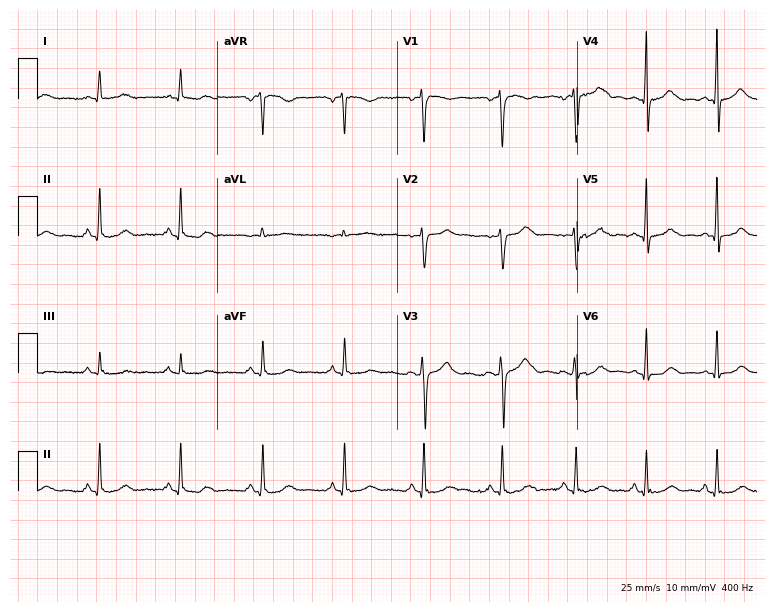
12-lead ECG (7.3-second recording at 400 Hz) from a female, 79 years old. Labelled as a normal ECG.